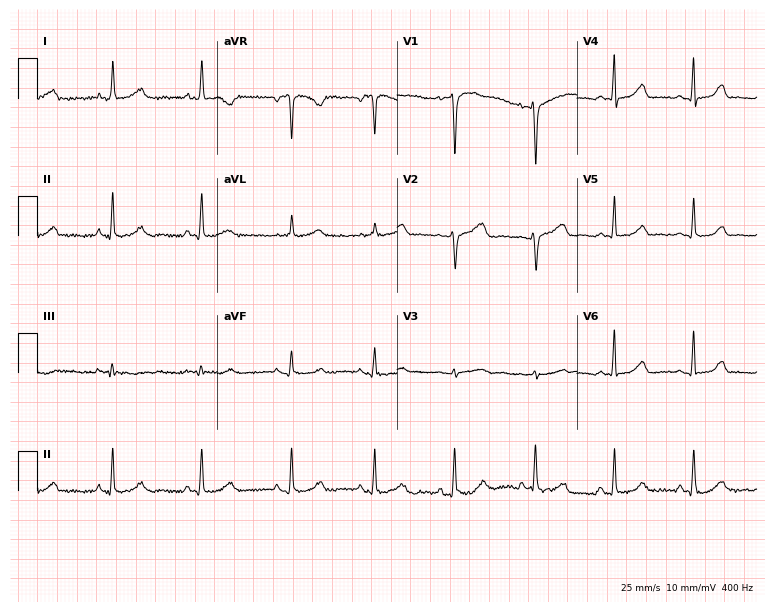
ECG — a 52-year-old female patient. Labelled as a normal ECG.